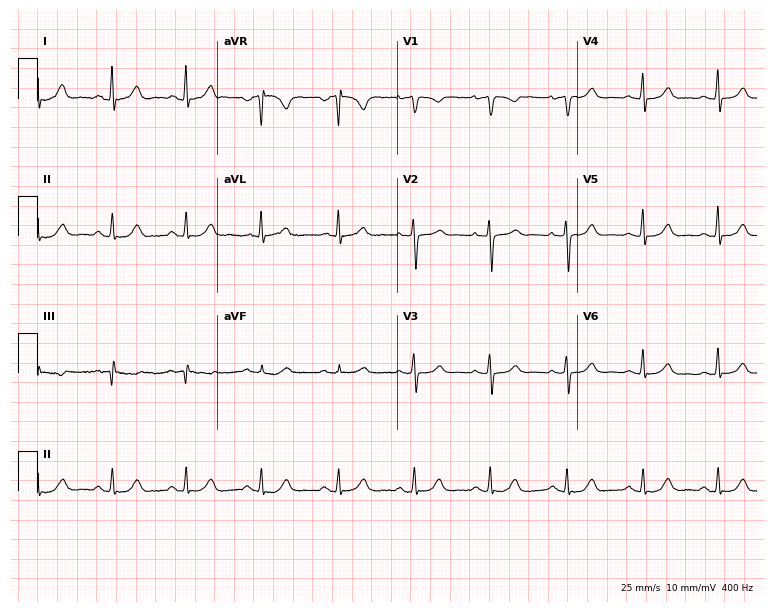
12-lead ECG from a female patient, 51 years old. Labelled as a normal ECG.